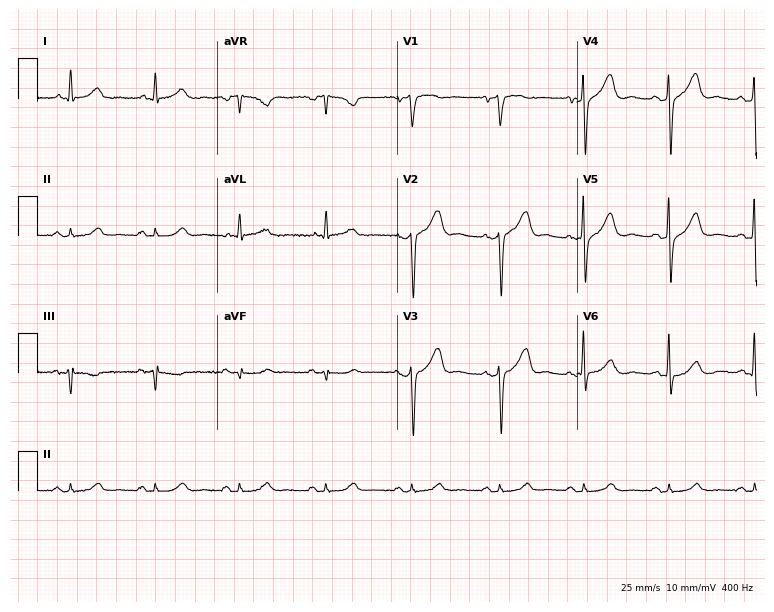
12-lead ECG from a male patient, 60 years old. Recorded interpretation: within normal limits.